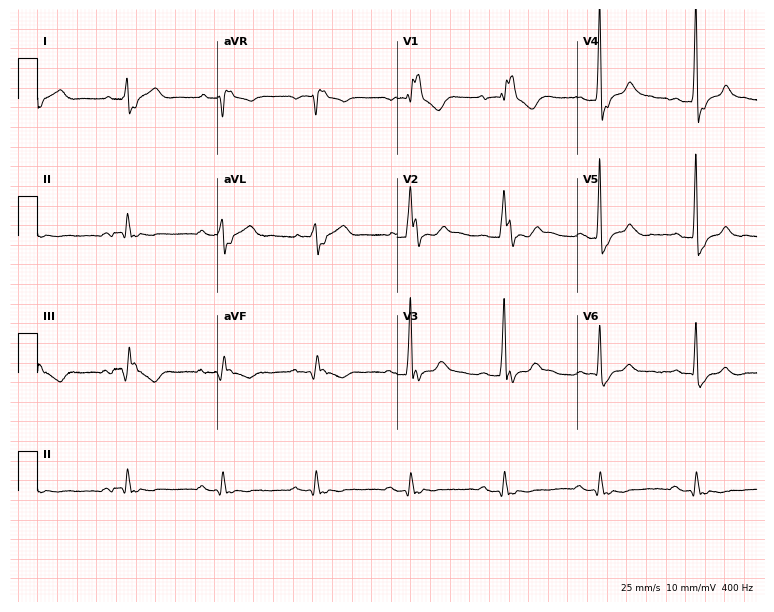
ECG — a 66-year-old man. Findings include right bundle branch block.